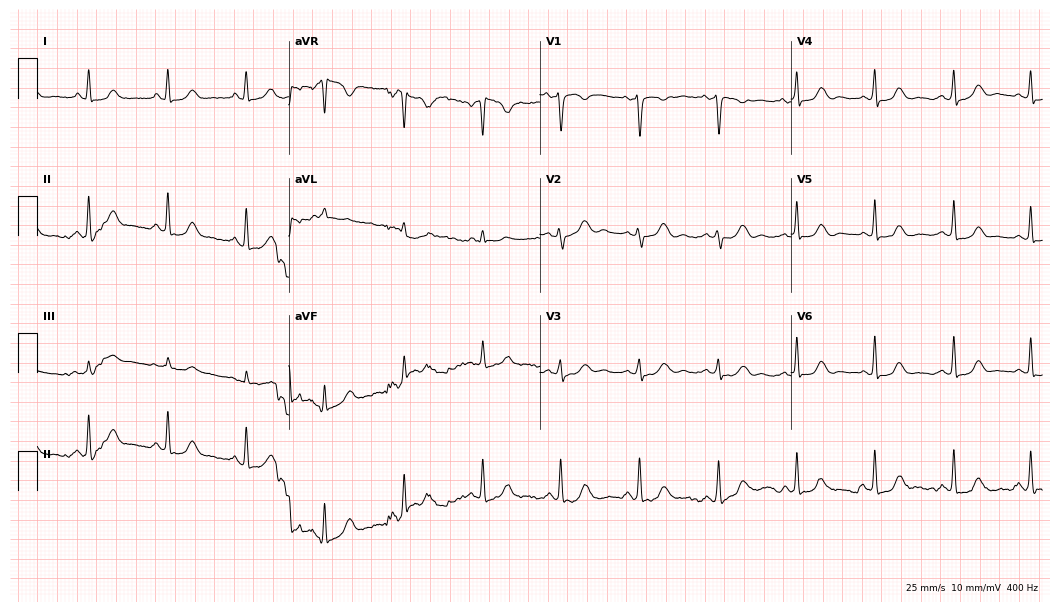
12-lead ECG from a 40-year-old female patient. No first-degree AV block, right bundle branch block (RBBB), left bundle branch block (LBBB), sinus bradycardia, atrial fibrillation (AF) or sinus tachycardia recorded for this tracing. Findings outside these six are not listed.